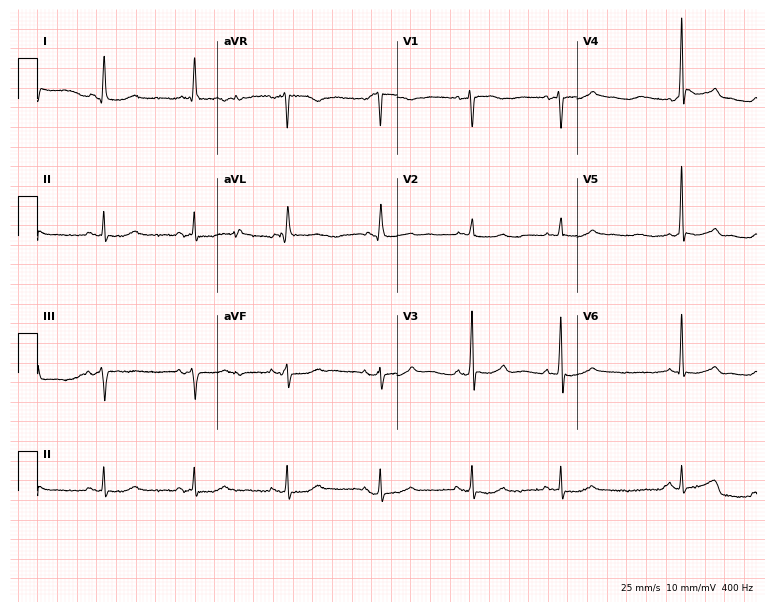
12-lead ECG from a female patient, 62 years old (7.3-second recording at 400 Hz). No first-degree AV block, right bundle branch block (RBBB), left bundle branch block (LBBB), sinus bradycardia, atrial fibrillation (AF) or sinus tachycardia recorded for this tracing.